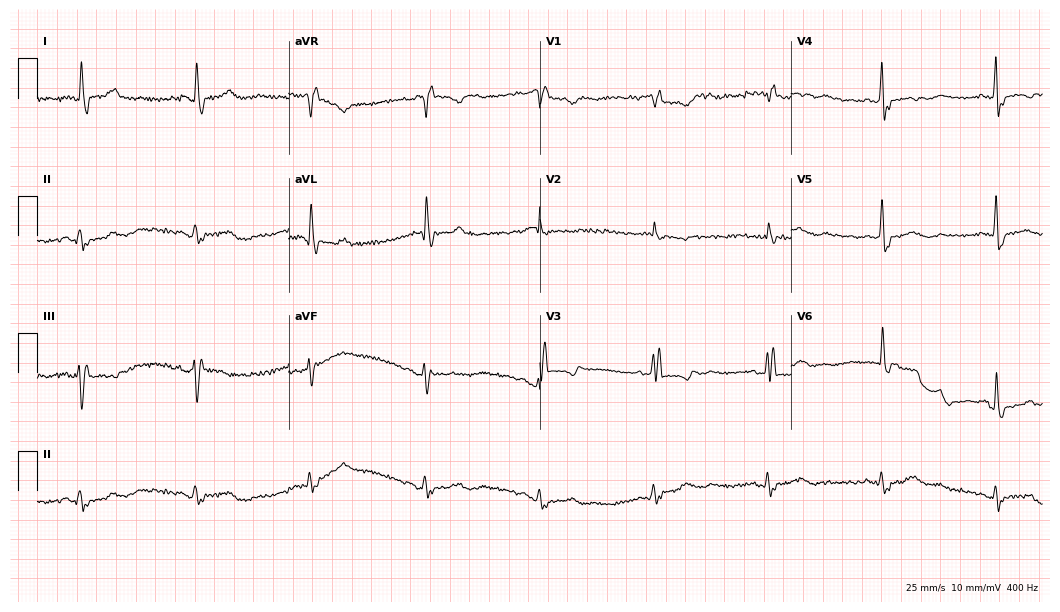
Electrocardiogram (10.2-second recording at 400 Hz), a woman, 85 years old. Of the six screened findings (first-degree AV block, right bundle branch block (RBBB), left bundle branch block (LBBB), sinus bradycardia, atrial fibrillation (AF), sinus tachycardia), none is recorded.